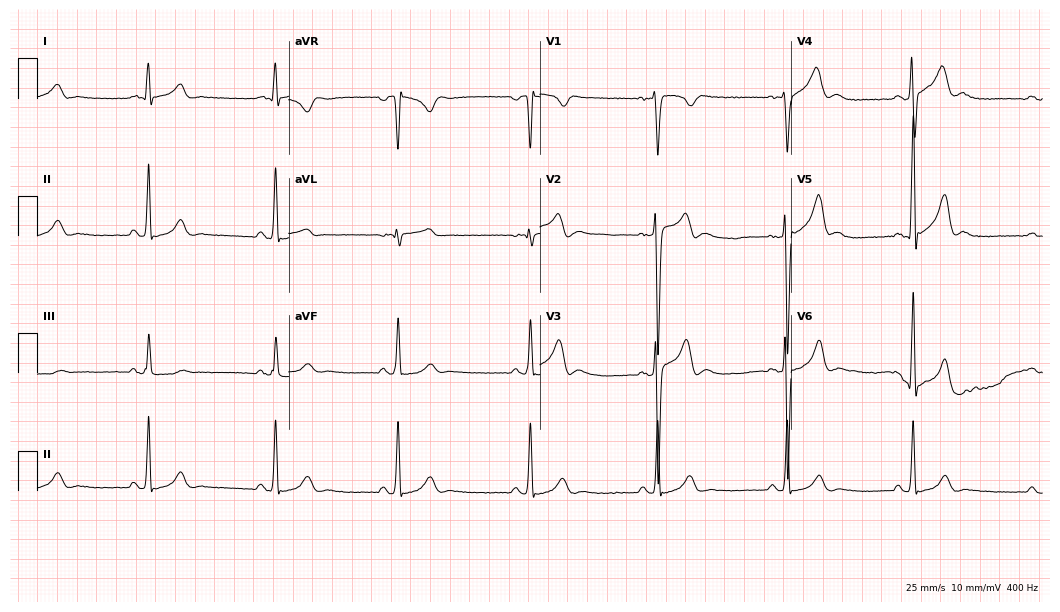
12-lead ECG from a 32-year-old male patient (10.2-second recording at 400 Hz). Shows sinus bradycardia (a sinus rate of 50 beats per minute or less).